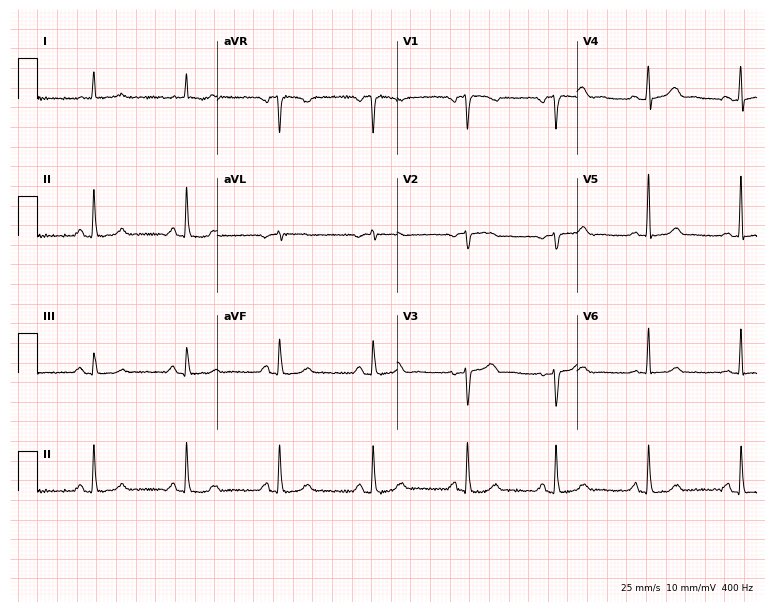
ECG (7.3-second recording at 400 Hz) — a 58-year-old female. Screened for six findings — first-degree AV block, right bundle branch block, left bundle branch block, sinus bradycardia, atrial fibrillation, sinus tachycardia — none is recorded.